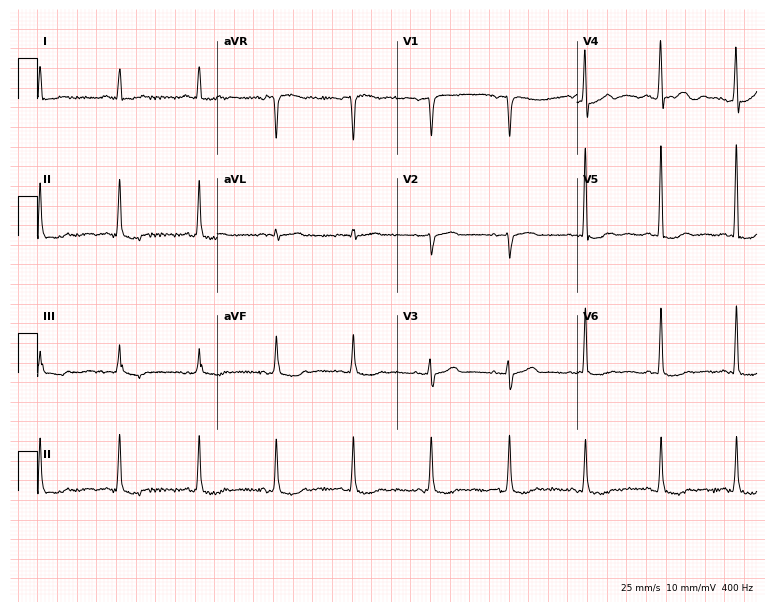
12-lead ECG from a female, 67 years old. Screened for six findings — first-degree AV block, right bundle branch block (RBBB), left bundle branch block (LBBB), sinus bradycardia, atrial fibrillation (AF), sinus tachycardia — none is recorded.